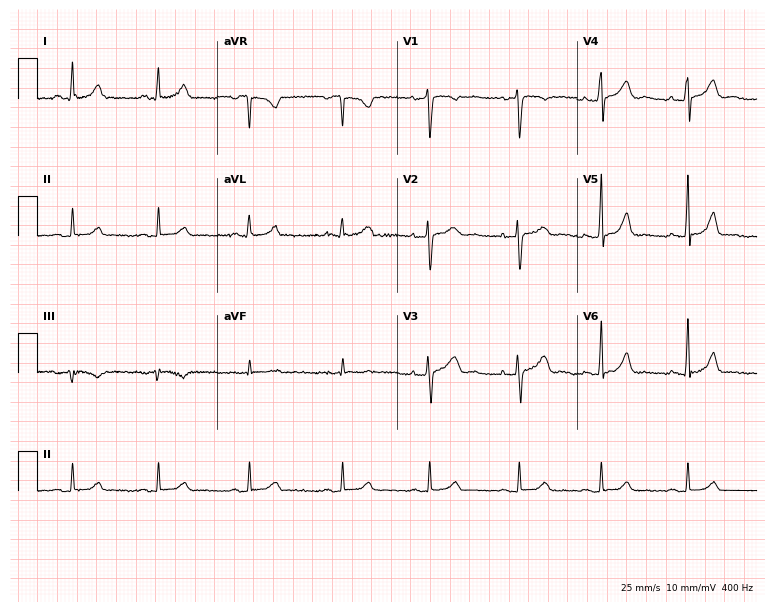
ECG — a female, 35 years old. Screened for six findings — first-degree AV block, right bundle branch block, left bundle branch block, sinus bradycardia, atrial fibrillation, sinus tachycardia — none is recorded. Other findings, if any, are not listed.